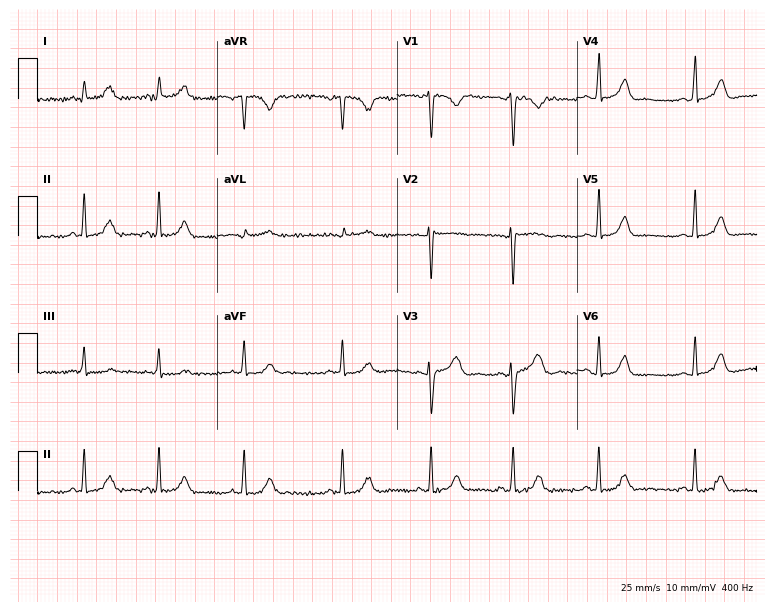
ECG (7.3-second recording at 400 Hz) — a 28-year-old female. Screened for six findings — first-degree AV block, right bundle branch block, left bundle branch block, sinus bradycardia, atrial fibrillation, sinus tachycardia — none is recorded. Findings outside these six are not listed.